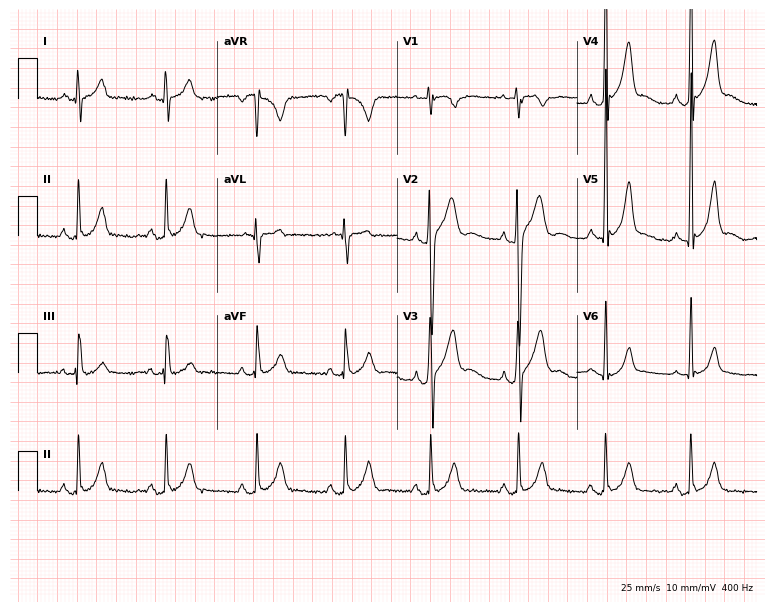
Electrocardiogram (7.3-second recording at 400 Hz), a 25-year-old male. Overall reading on record: normal ECG.